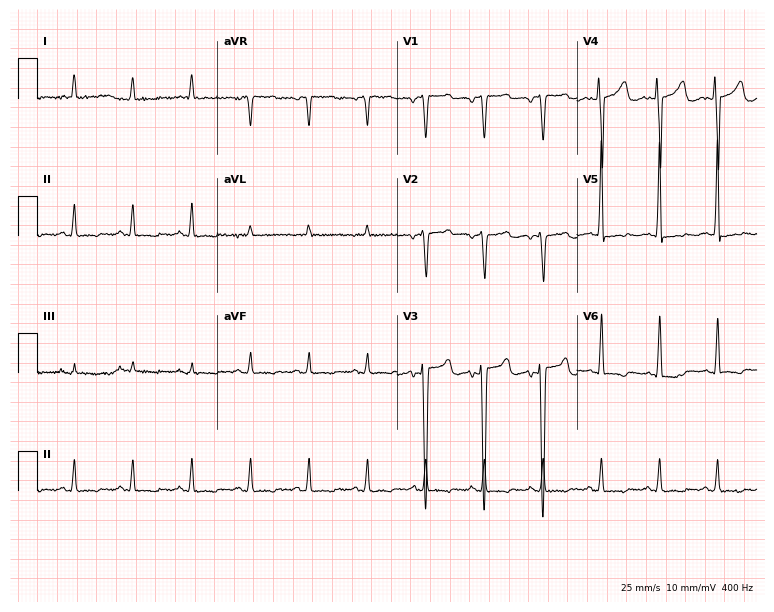
Standard 12-lead ECG recorded from a male, 63 years old. None of these six findings is recorded: first-degree AV block, right bundle branch block, left bundle branch block, sinus bradycardia, atrial fibrillation, sinus tachycardia. Findings outside these six are not listed.